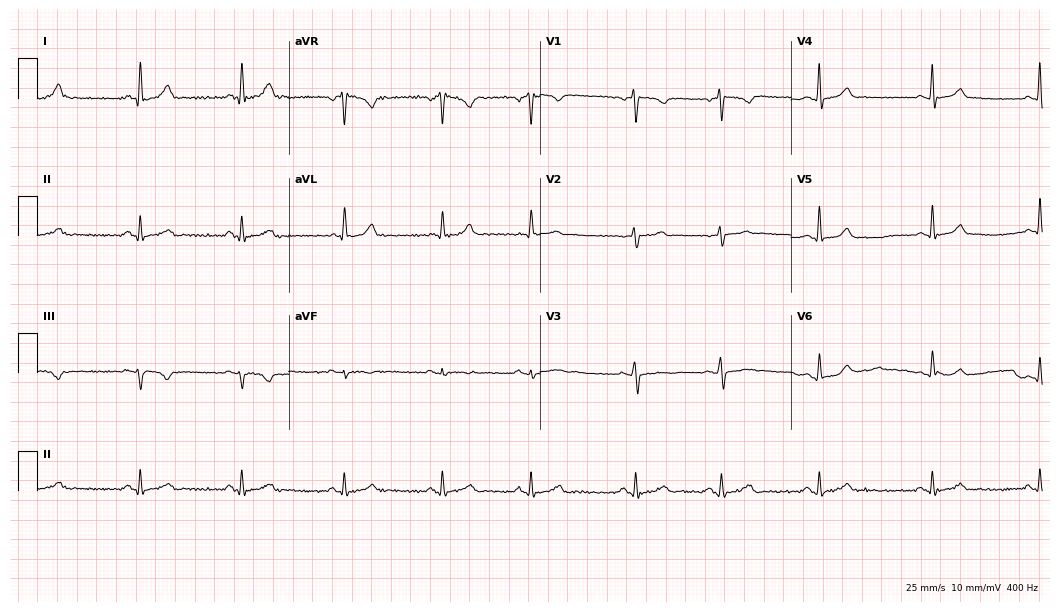
12-lead ECG from a female patient, 31 years old. Recorded interpretation: within normal limits.